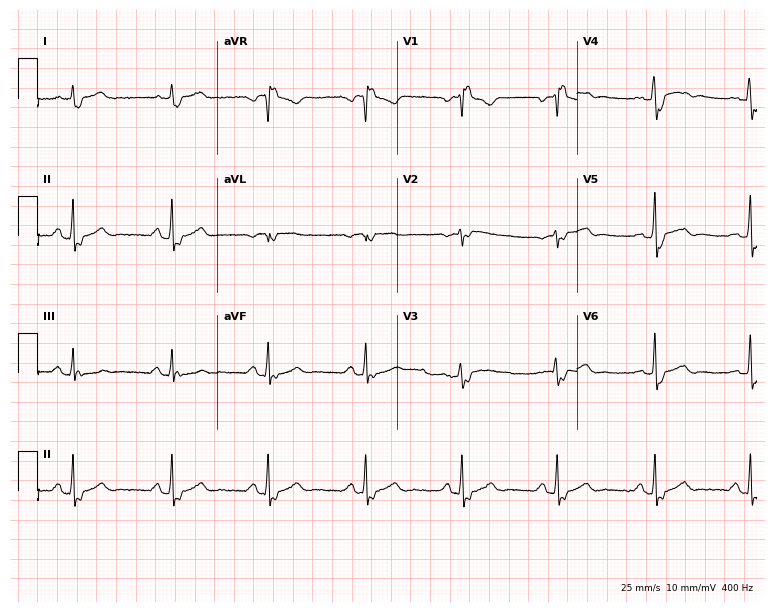
12-lead ECG from a female patient, 38 years old. Findings include right bundle branch block.